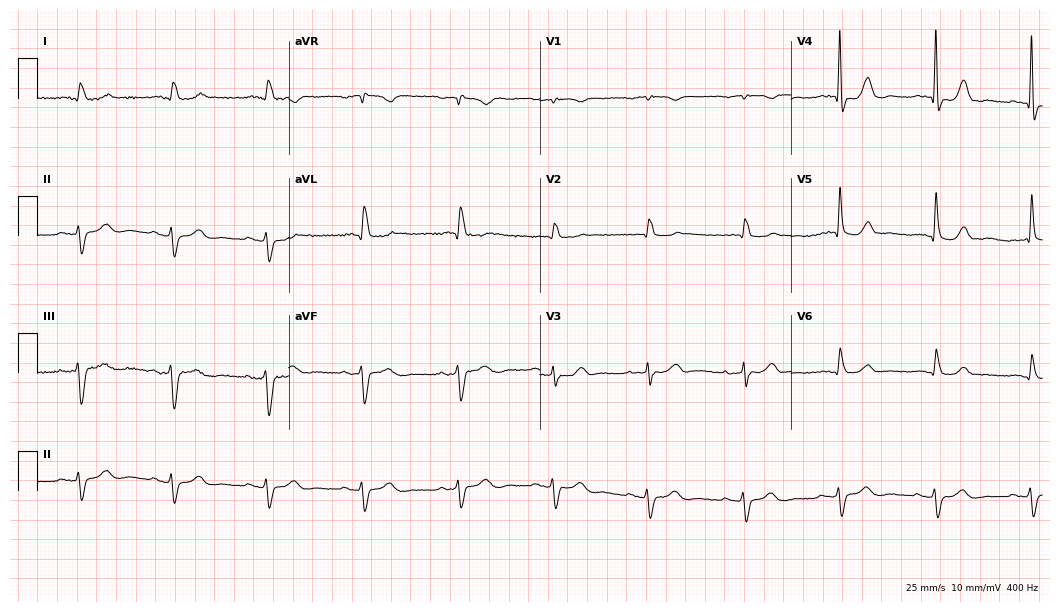
Electrocardiogram, a male, 82 years old. Of the six screened findings (first-degree AV block, right bundle branch block, left bundle branch block, sinus bradycardia, atrial fibrillation, sinus tachycardia), none is recorded.